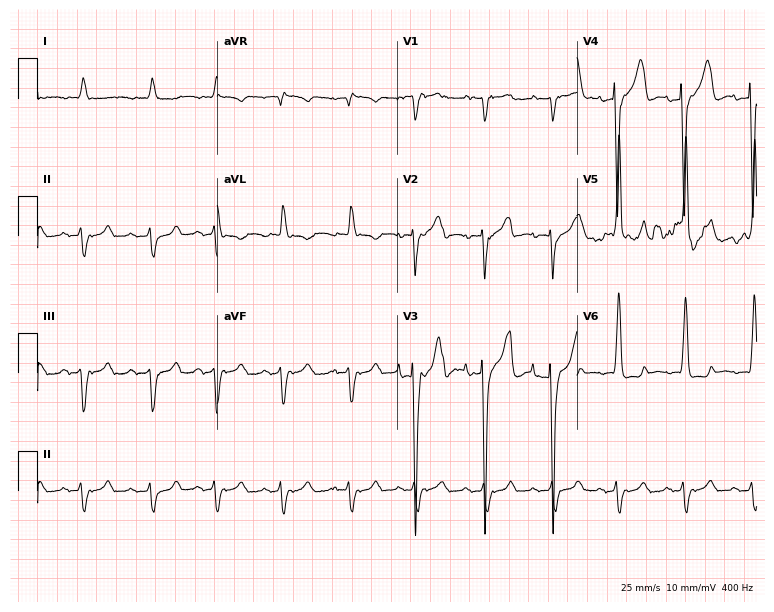
Electrocardiogram (7.3-second recording at 400 Hz), an 82-year-old male patient. Of the six screened findings (first-degree AV block, right bundle branch block, left bundle branch block, sinus bradycardia, atrial fibrillation, sinus tachycardia), none is recorded. Findings outside these six are not listed.